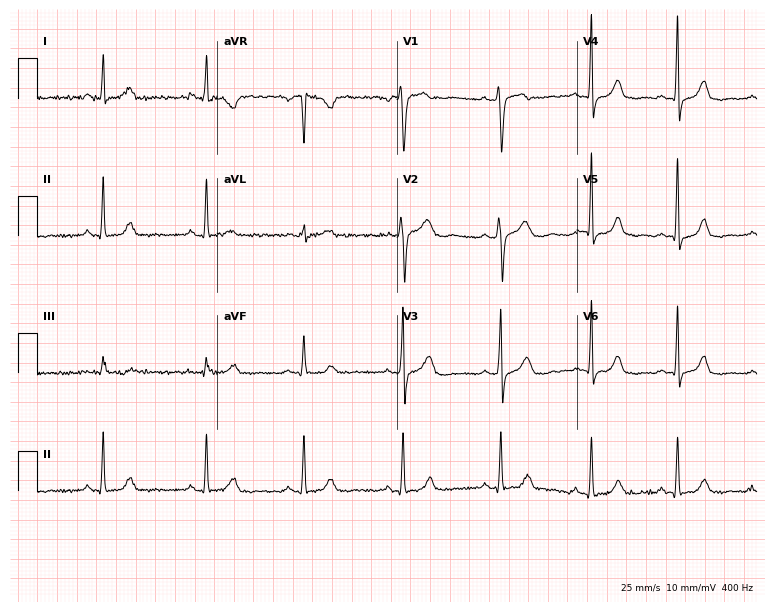
12-lead ECG (7.3-second recording at 400 Hz) from a 51-year-old woman. Screened for six findings — first-degree AV block, right bundle branch block, left bundle branch block, sinus bradycardia, atrial fibrillation, sinus tachycardia — none is recorded.